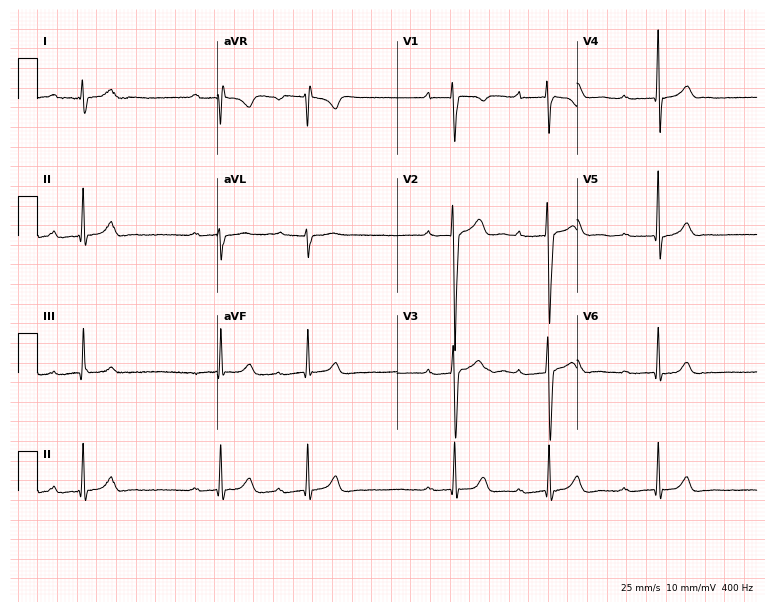
Electrocardiogram, a 17-year-old male. Of the six screened findings (first-degree AV block, right bundle branch block (RBBB), left bundle branch block (LBBB), sinus bradycardia, atrial fibrillation (AF), sinus tachycardia), none is recorded. Other findings, if any, are not listed.